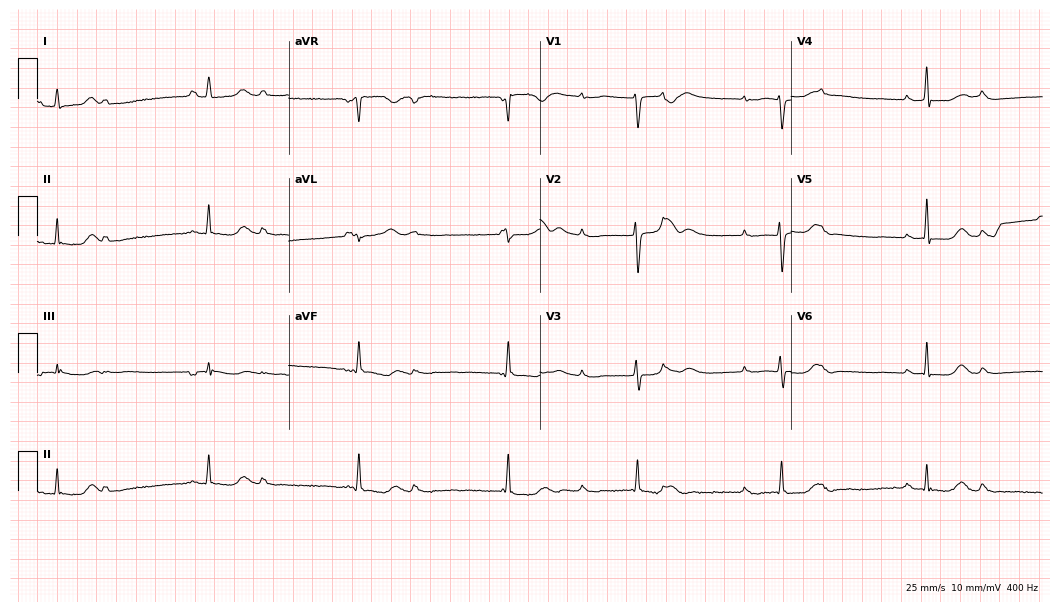
12-lead ECG (10.2-second recording at 400 Hz) from a 53-year-old female patient. Findings include first-degree AV block.